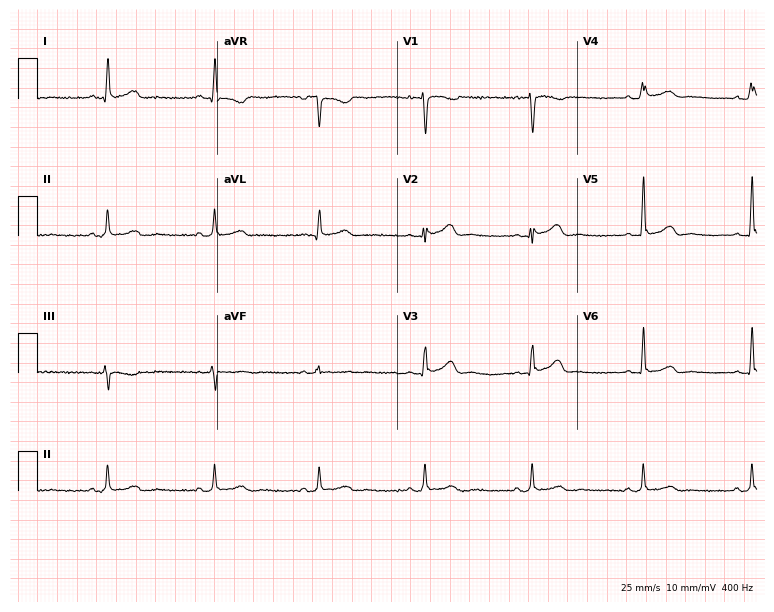
12-lead ECG from a female, 32 years old. Recorded interpretation: within normal limits.